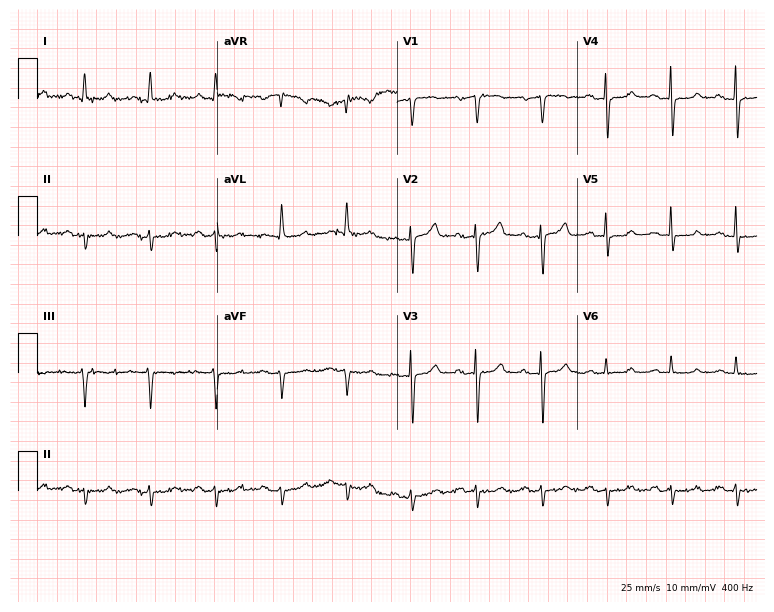
Electrocardiogram (7.3-second recording at 400 Hz), an 84-year-old male patient. Of the six screened findings (first-degree AV block, right bundle branch block, left bundle branch block, sinus bradycardia, atrial fibrillation, sinus tachycardia), none is recorded. Other findings, if any, are not listed.